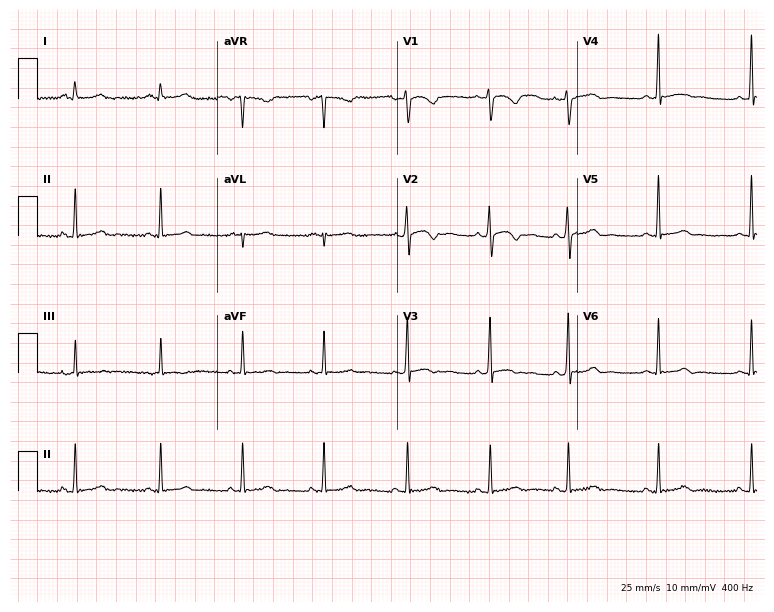
ECG (7.3-second recording at 400 Hz) — a female patient, 20 years old. Screened for six findings — first-degree AV block, right bundle branch block, left bundle branch block, sinus bradycardia, atrial fibrillation, sinus tachycardia — none is recorded. Only these six findings were labelled.